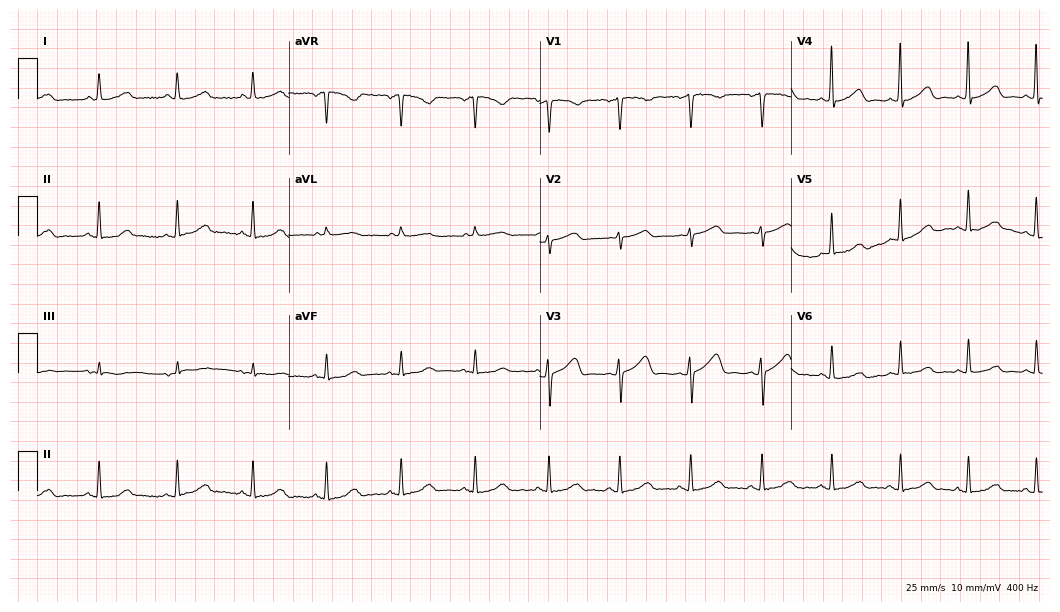
Electrocardiogram, a 45-year-old female. Overall reading on record: normal ECG.